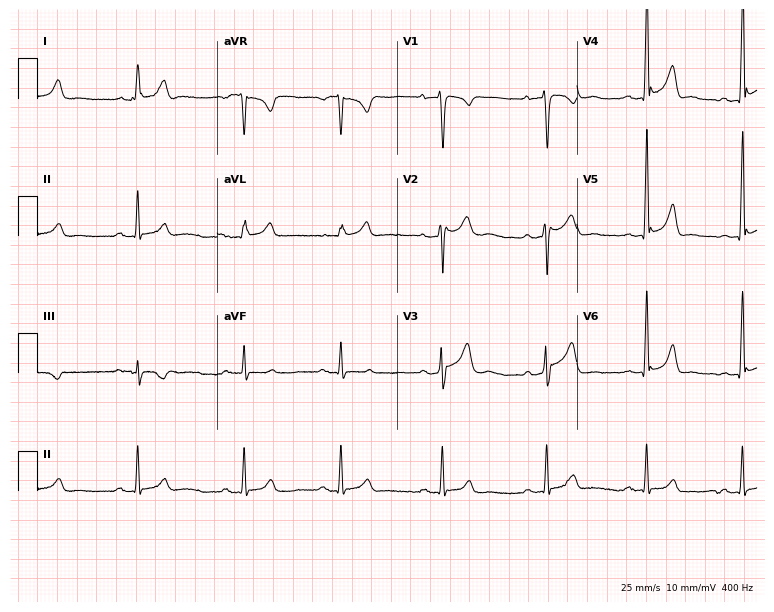
Electrocardiogram, a man, 37 years old. Overall reading on record: normal ECG.